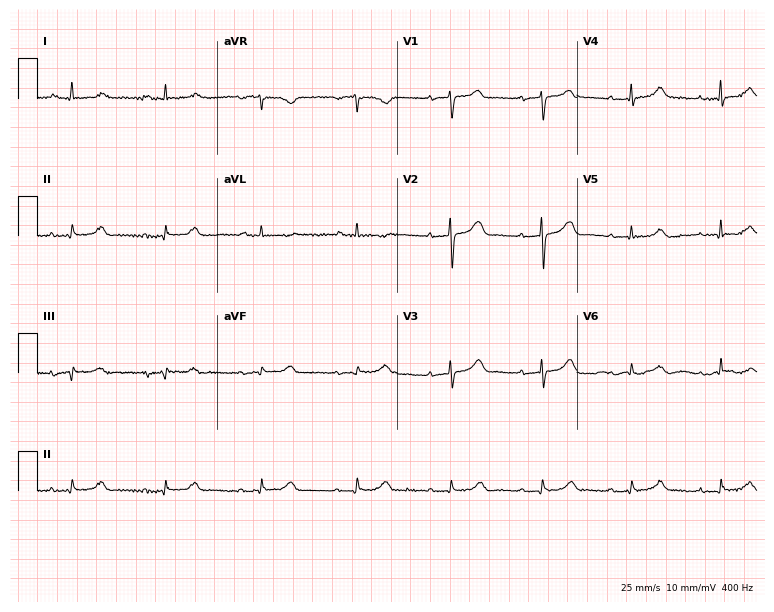
Standard 12-lead ECG recorded from a woman, 82 years old (7.3-second recording at 400 Hz). None of these six findings is recorded: first-degree AV block, right bundle branch block (RBBB), left bundle branch block (LBBB), sinus bradycardia, atrial fibrillation (AF), sinus tachycardia. Other findings, if any, are not listed.